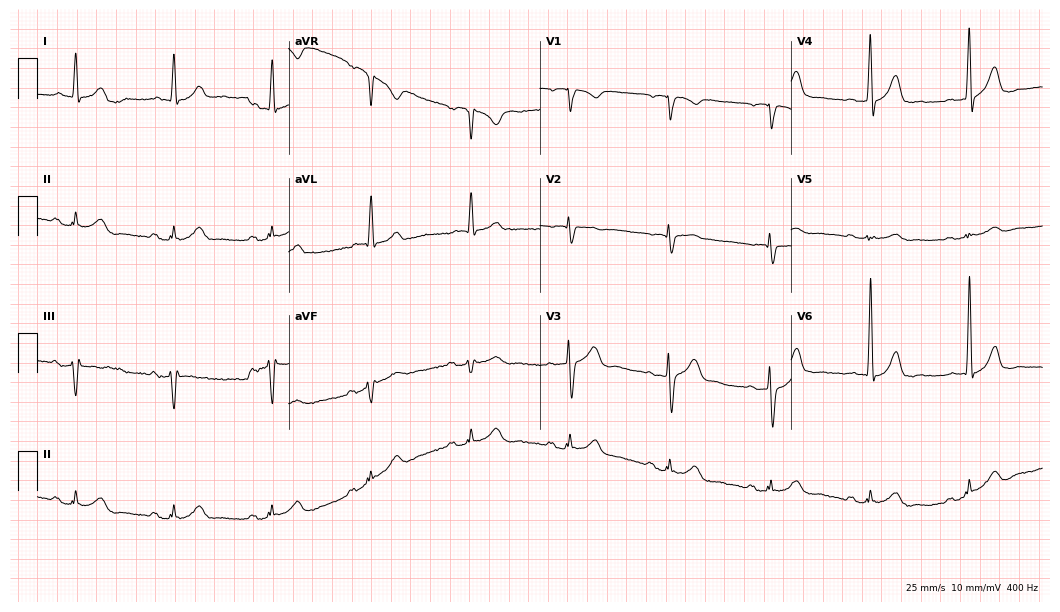
ECG — a 65-year-old male. Labelled as a normal ECG.